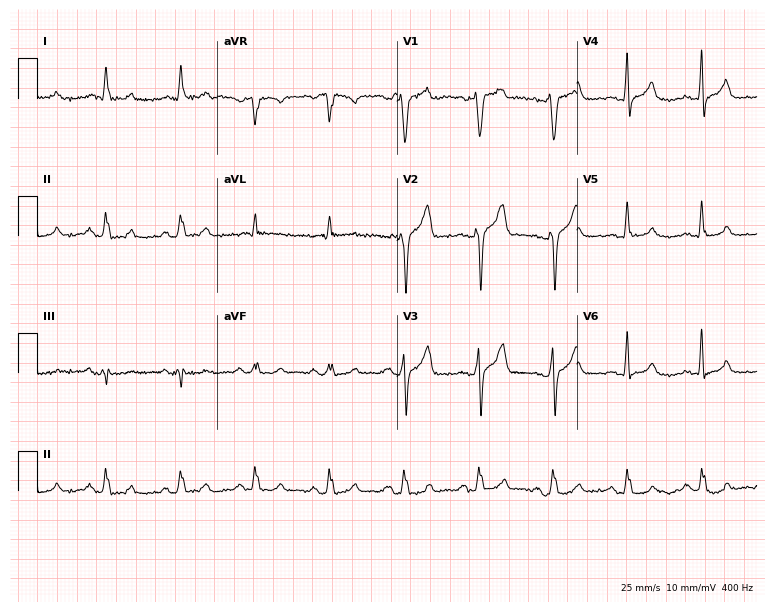
ECG — a 51-year-old male. Screened for six findings — first-degree AV block, right bundle branch block, left bundle branch block, sinus bradycardia, atrial fibrillation, sinus tachycardia — none is recorded. Other findings, if any, are not listed.